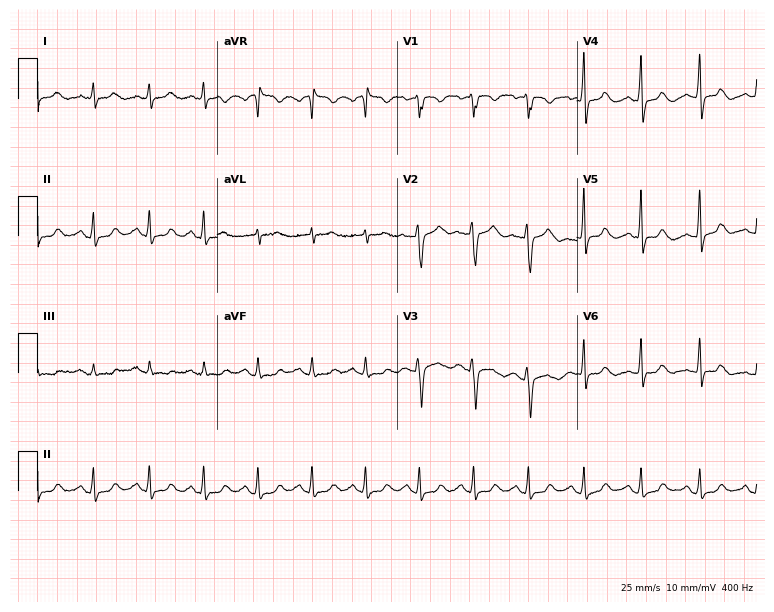
ECG — a female patient, 43 years old. Screened for six findings — first-degree AV block, right bundle branch block (RBBB), left bundle branch block (LBBB), sinus bradycardia, atrial fibrillation (AF), sinus tachycardia — none is recorded. Only these six findings were labelled.